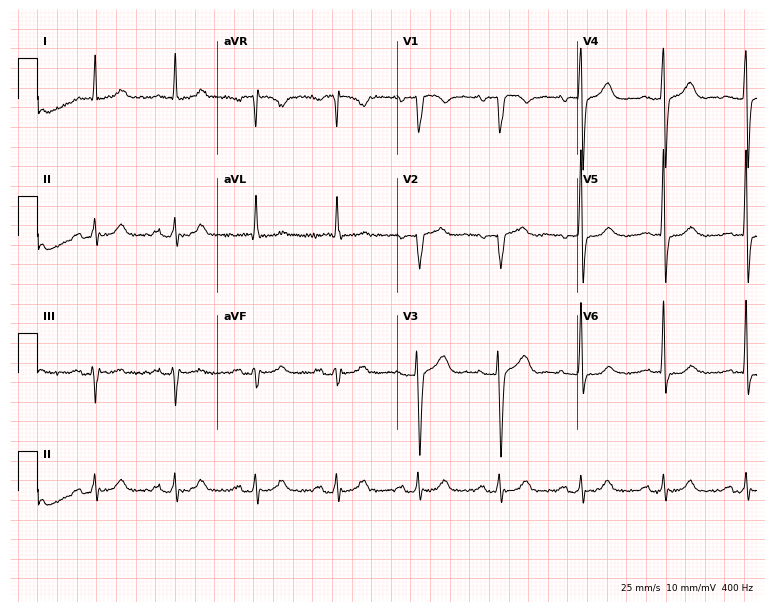
12-lead ECG (7.3-second recording at 400 Hz) from a male patient, 78 years old. Labelled as a normal ECG.